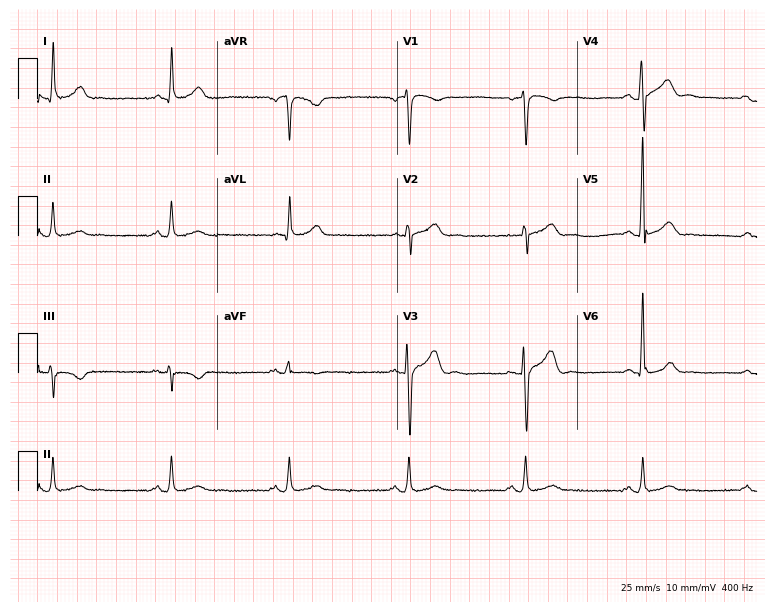
Resting 12-lead electrocardiogram (7.3-second recording at 400 Hz). Patient: a man, 72 years old. Read as a normal ECG.